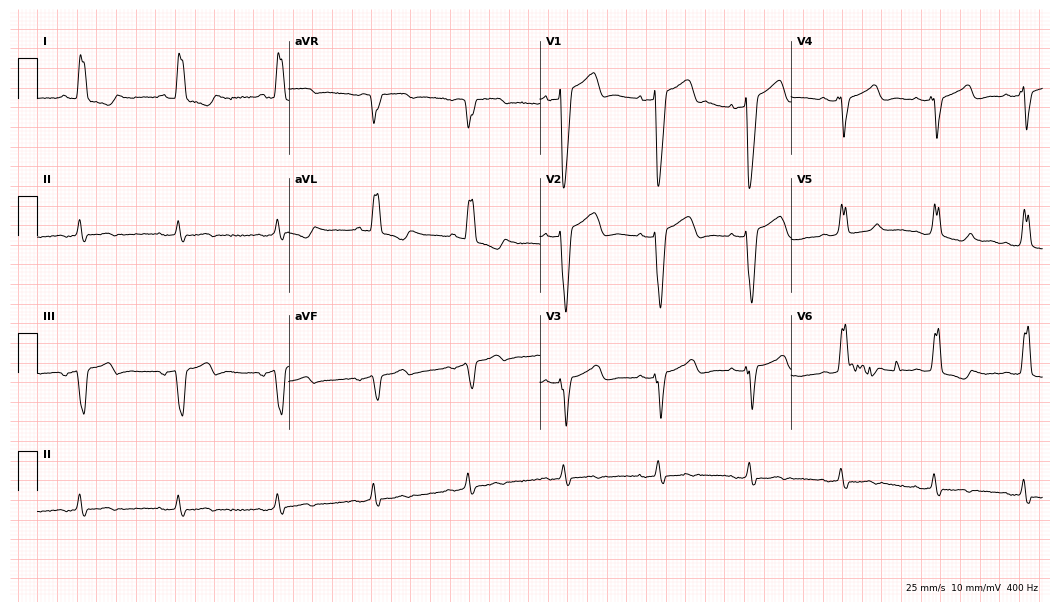
ECG — a woman, 78 years old. Findings include left bundle branch block.